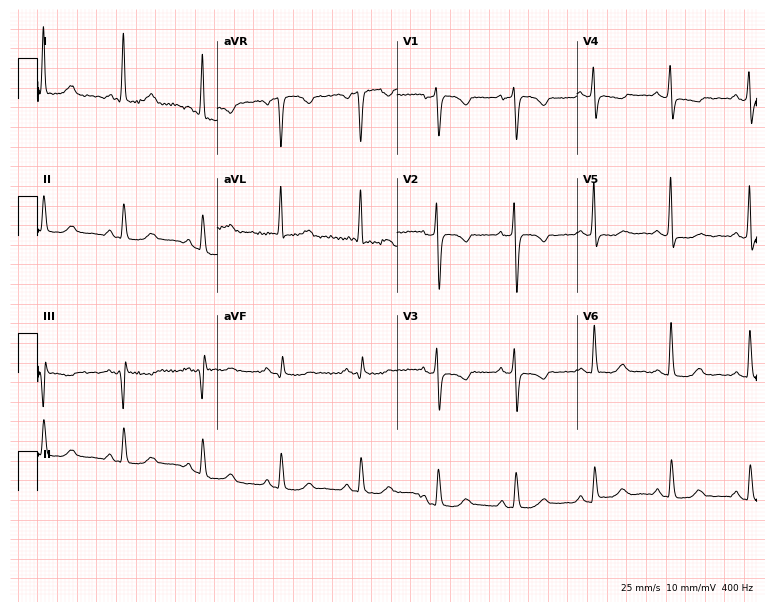
Resting 12-lead electrocardiogram. Patient: a 77-year-old female. None of these six findings is recorded: first-degree AV block, right bundle branch block, left bundle branch block, sinus bradycardia, atrial fibrillation, sinus tachycardia.